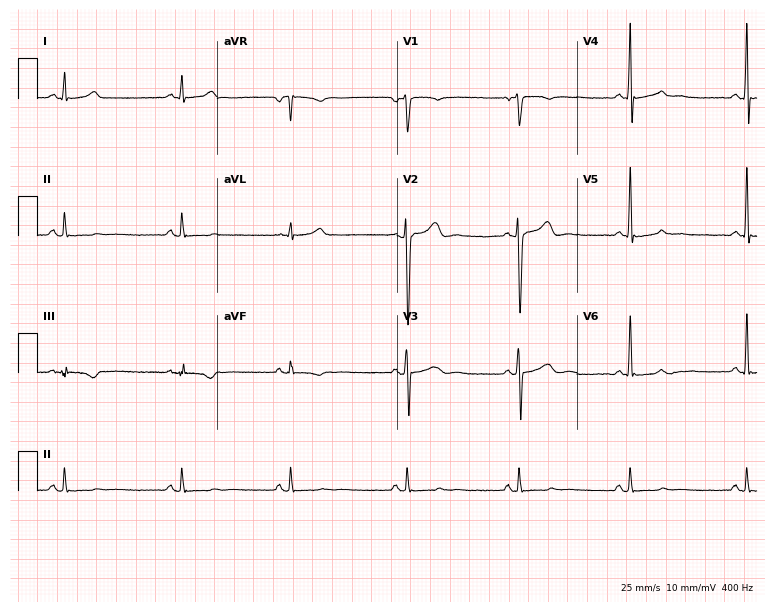
12-lead ECG from a 44-year-old male patient. Screened for six findings — first-degree AV block, right bundle branch block, left bundle branch block, sinus bradycardia, atrial fibrillation, sinus tachycardia — none is recorded. Findings outside these six are not listed.